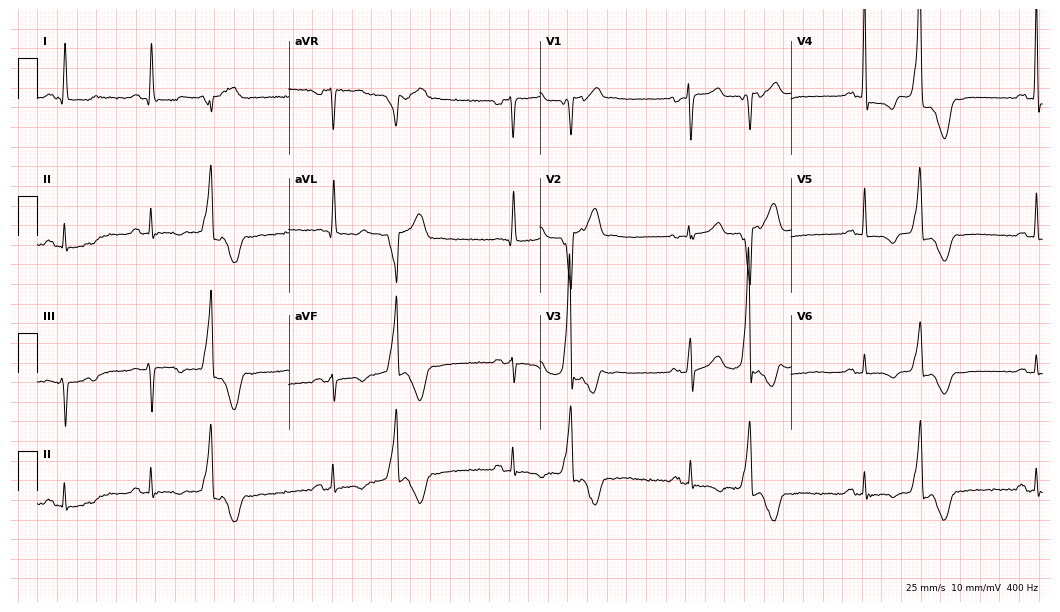
12-lead ECG (10.2-second recording at 400 Hz) from a female, 56 years old. Labelled as a normal ECG.